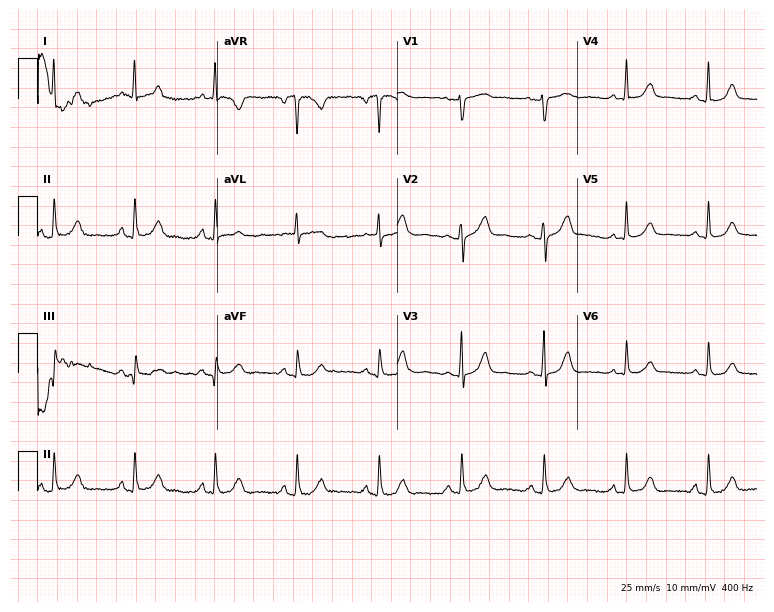
12-lead ECG (7.3-second recording at 400 Hz) from a female patient, 56 years old. Labelled as a normal ECG.